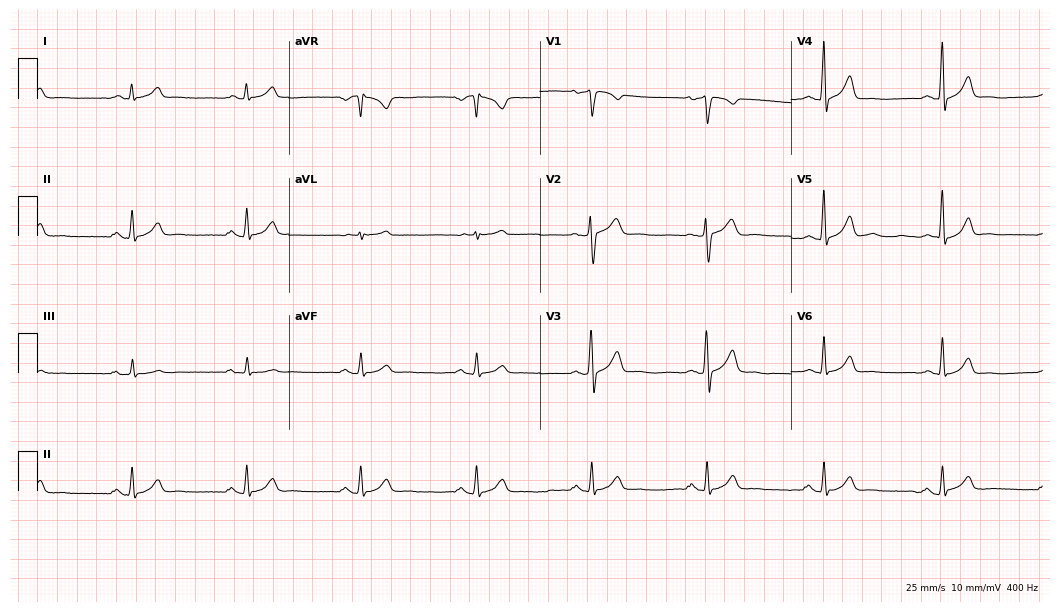
12-lead ECG (10.2-second recording at 400 Hz) from a 37-year-old male patient. Screened for six findings — first-degree AV block, right bundle branch block, left bundle branch block, sinus bradycardia, atrial fibrillation, sinus tachycardia — none is recorded.